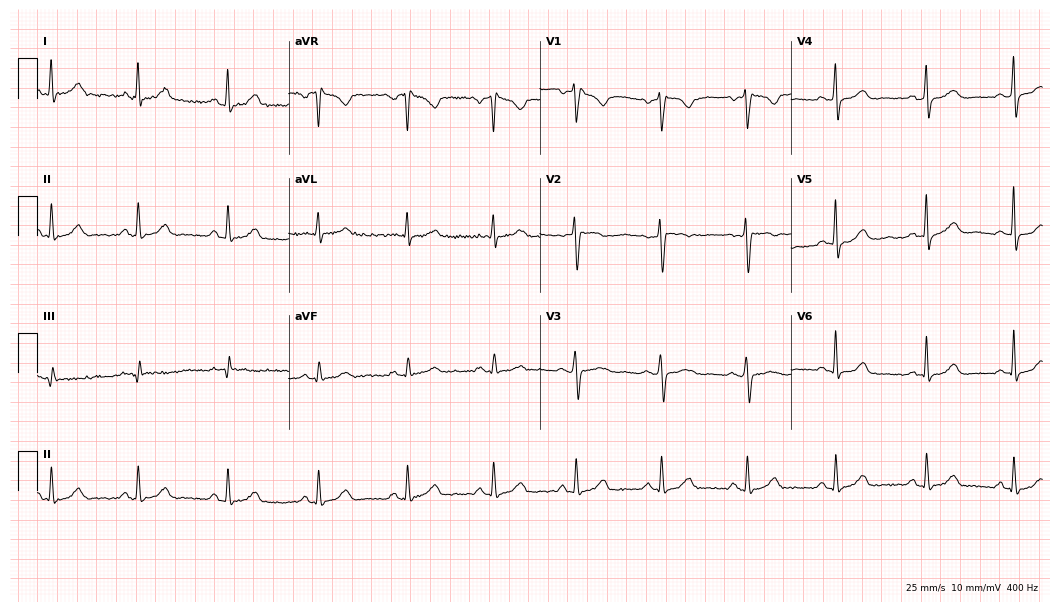
Electrocardiogram (10.2-second recording at 400 Hz), a 41-year-old female patient. Overall reading on record: normal ECG.